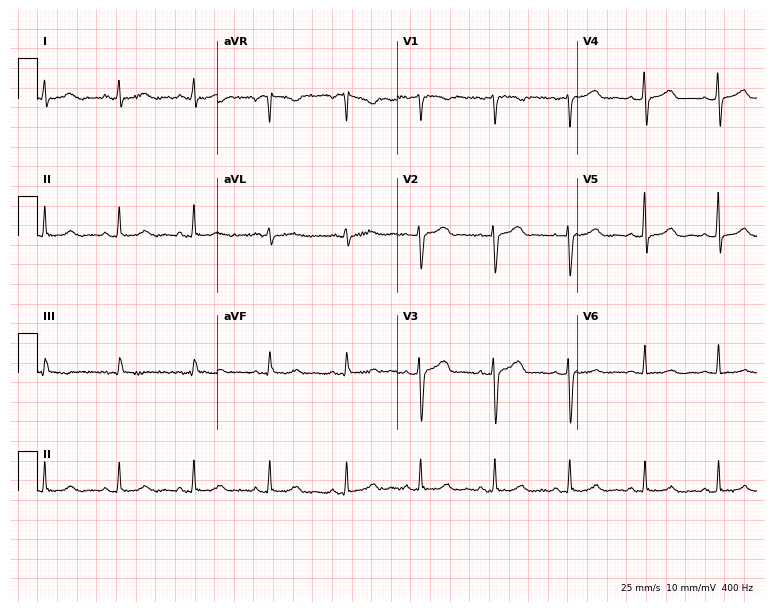
12-lead ECG from a woman, 38 years old (7.3-second recording at 400 Hz). Recorded interpretation: within normal limits.